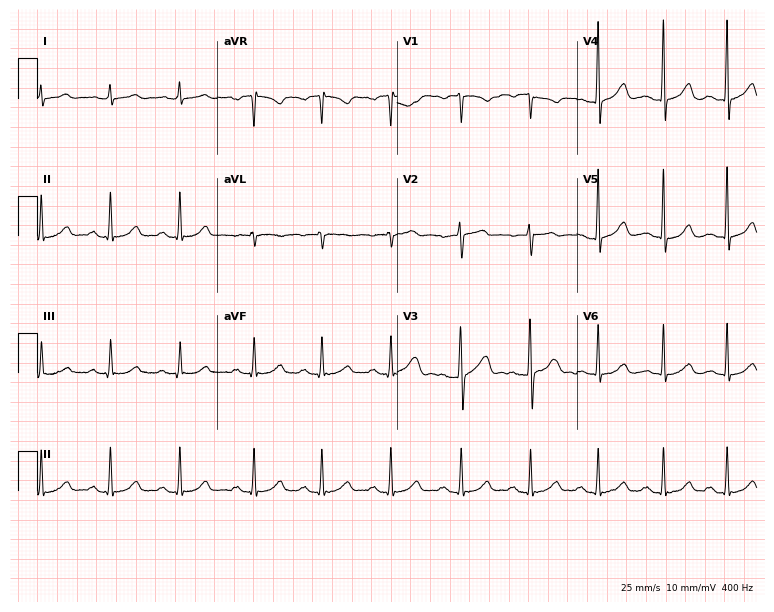
12-lead ECG from a woman, 37 years old (7.3-second recording at 400 Hz). No first-degree AV block, right bundle branch block (RBBB), left bundle branch block (LBBB), sinus bradycardia, atrial fibrillation (AF) or sinus tachycardia recorded for this tracing. Findings outside these six are not listed.